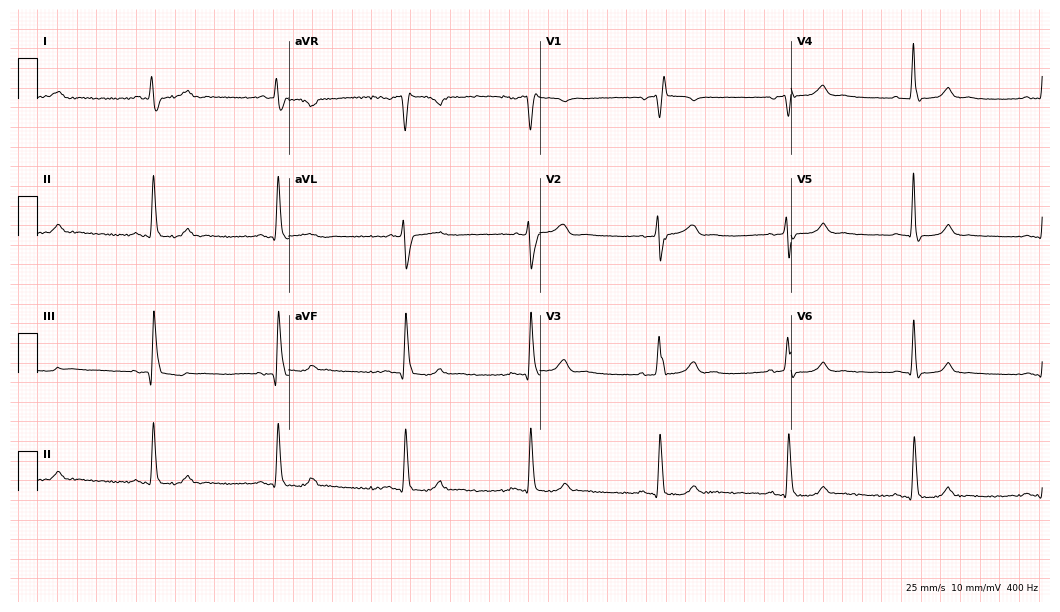
12-lead ECG from a male patient, 69 years old. Findings include right bundle branch block, sinus bradycardia (a sinus rate of 50 beats per minute or less).